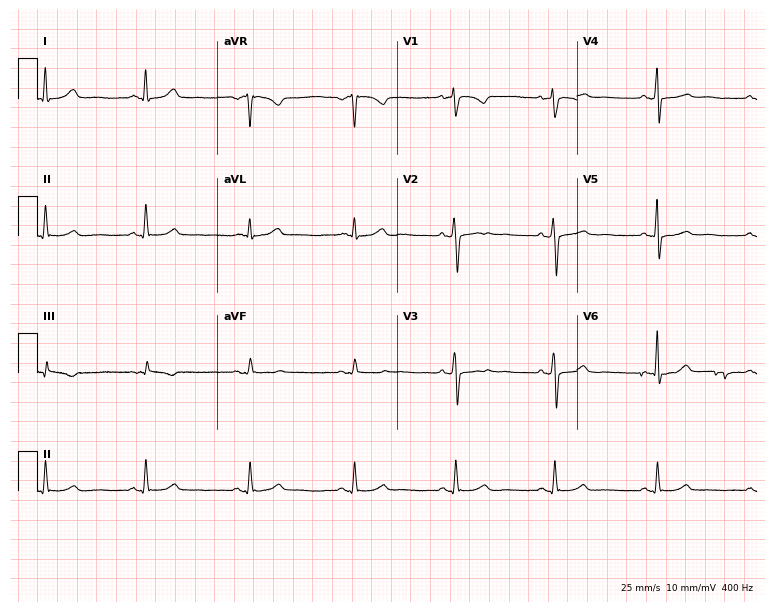
12-lead ECG from a 44-year-old female. No first-degree AV block, right bundle branch block (RBBB), left bundle branch block (LBBB), sinus bradycardia, atrial fibrillation (AF) or sinus tachycardia recorded for this tracing.